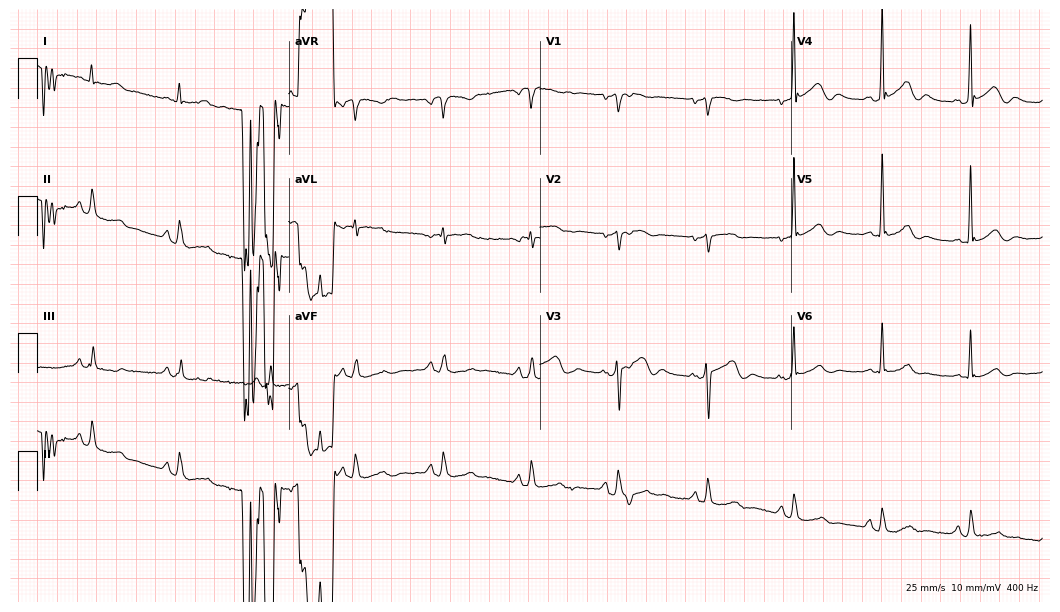
Resting 12-lead electrocardiogram (10.2-second recording at 400 Hz). Patient: a male, 59 years old. None of these six findings is recorded: first-degree AV block, right bundle branch block, left bundle branch block, sinus bradycardia, atrial fibrillation, sinus tachycardia.